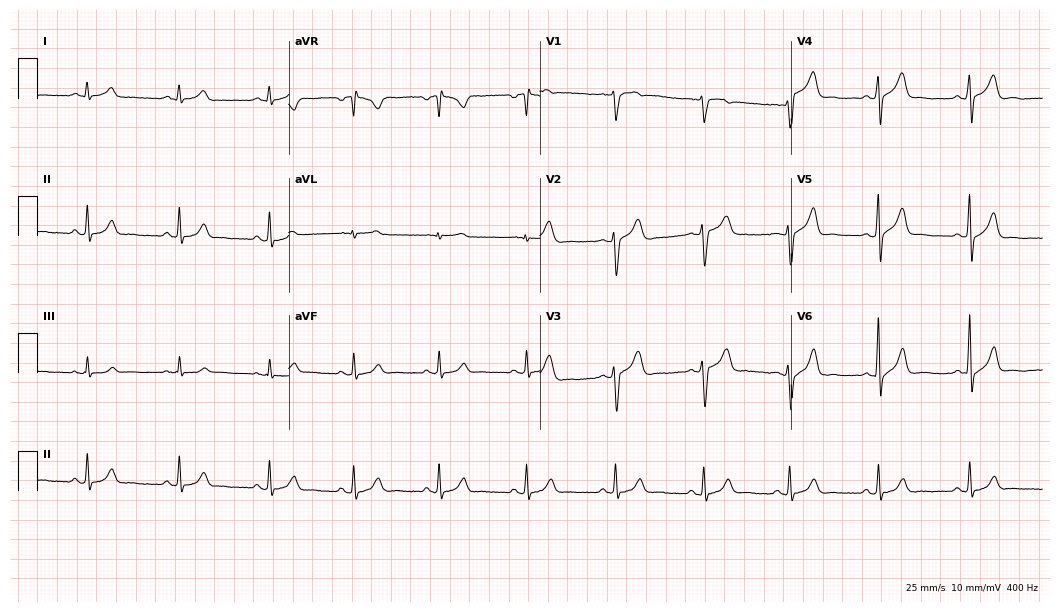
Standard 12-lead ECG recorded from a 38-year-old male patient (10.2-second recording at 400 Hz). Read as a normal ECG.